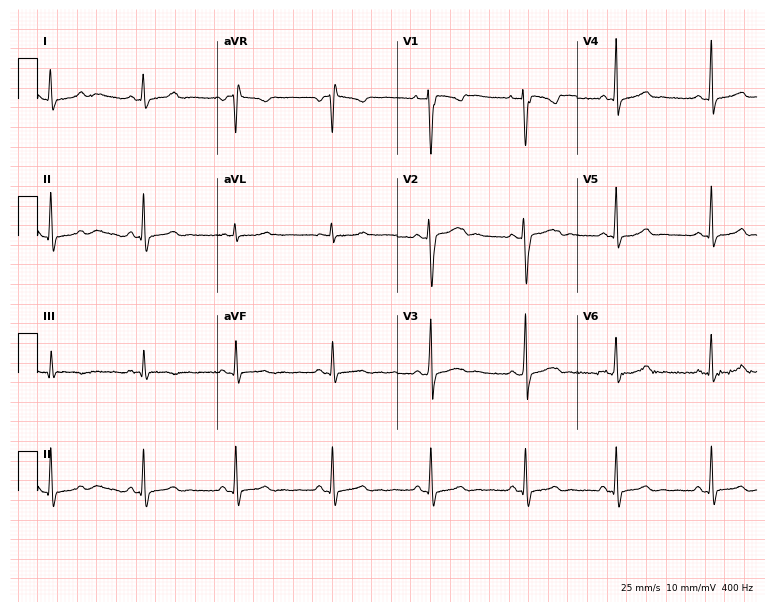
Standard 12-lead ECG recorded from a woman, 19 years old. None of these six findings is recorded: first-degree AV block, right bundle branch block, left bundle branch block, sinus bradycardia, atrial fibrillation, sinus tachycardia.